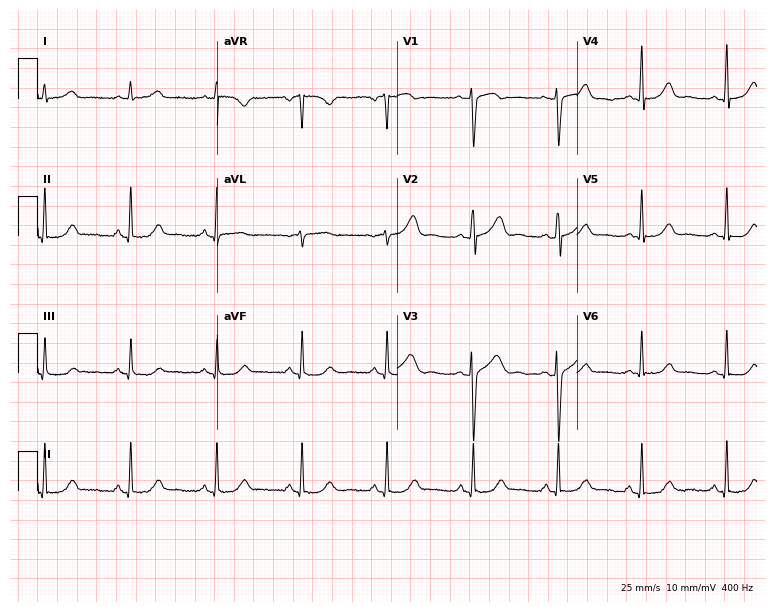
12-lead ECG from a 49-year-old female patient (7.3-second recording at 400 Hz). Recorded interpretation: within normal limits.